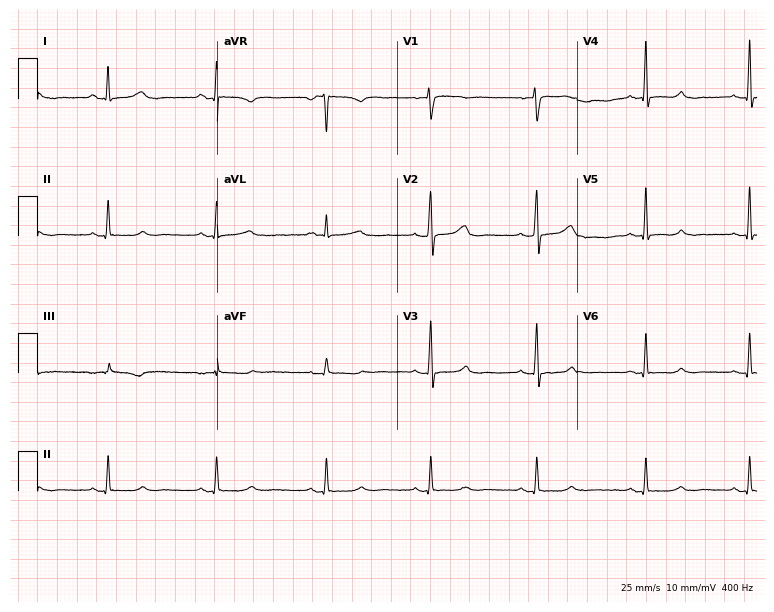
Standard 12-lead ECG recorded from a 37-year-old woman. Read as a normal ECG.